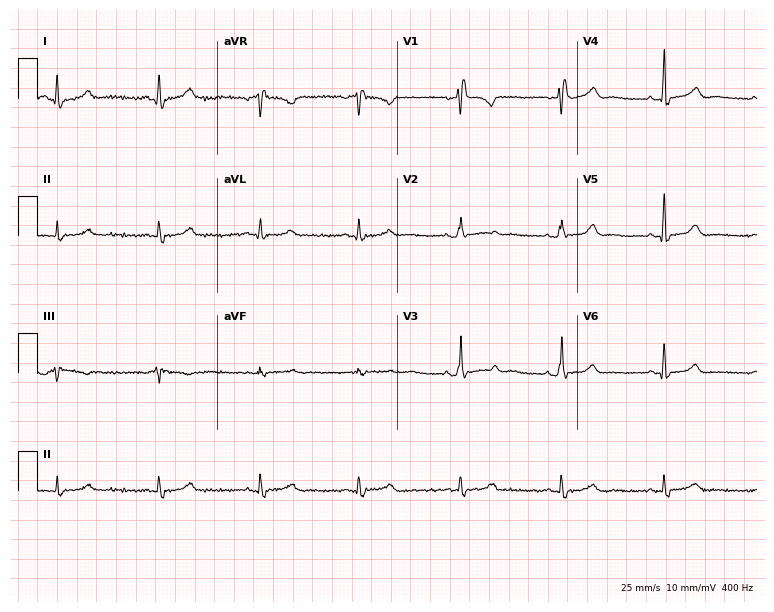
12-lead ECG from a woman, 44 years old. Screened for six findings — first-degree AV block, right bundle branch block (RBBB), left bundle branch block (LBBB), sinus bradycardia, atrial fibrillation (AF), sinus tachycardia — none is recorded. Only these six findings were labelled.